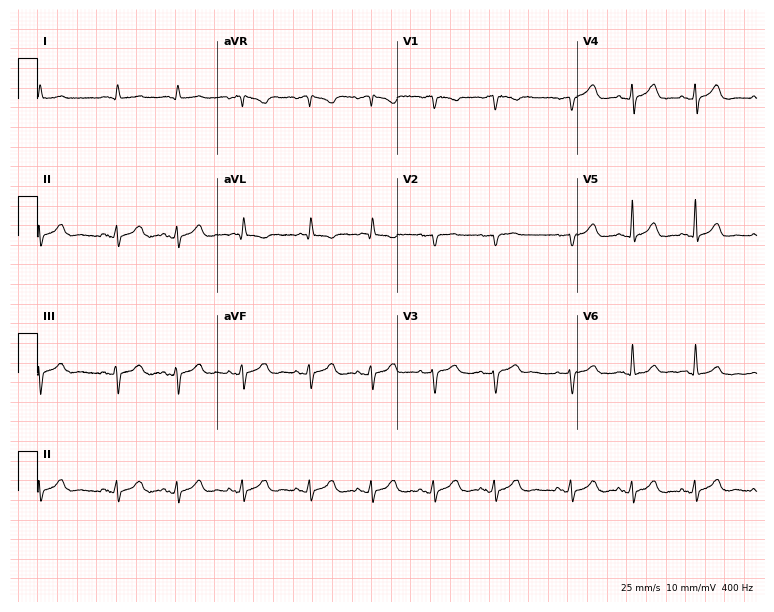
12-lead ECG from a 59-year-old male patient. No first-degree AV block, right bundle branch block (RBBB), left bundle branch block (LBBB), sinus bradycardia, atrial fibrillation (AF) or sinus tachycardia recorded for this tracing. Findings outside these six are not listed.